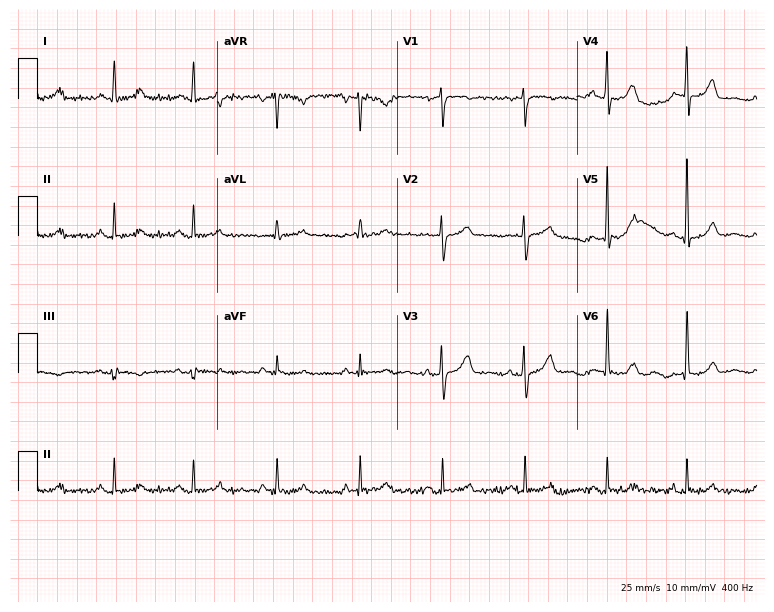
Standard 12-lead ECG recorded from a female patient, 58 years old (7.3-second recording at 400 Hz). Read as a normal ECG.